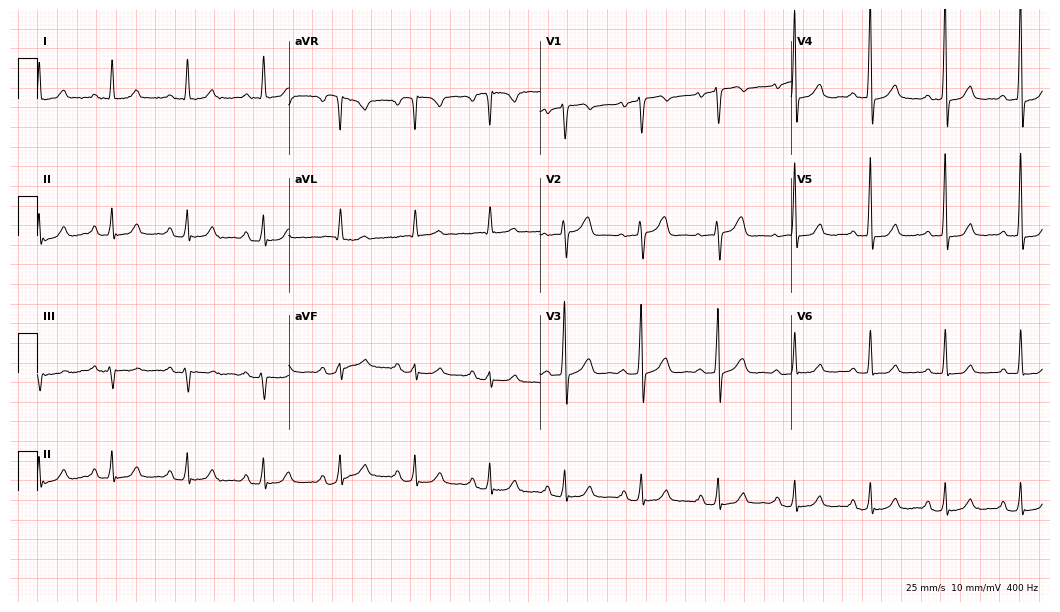
ECG (10.2-second recording at 400 Hz) — a woman, 76 years old. Screened for six findings — first-degree AV block, right bundle branch block (RBBB), left bundle branch block (LBBB), sinus bradycardia, atrial fibrillation (AF), sinus tachycardia — none is recorded.